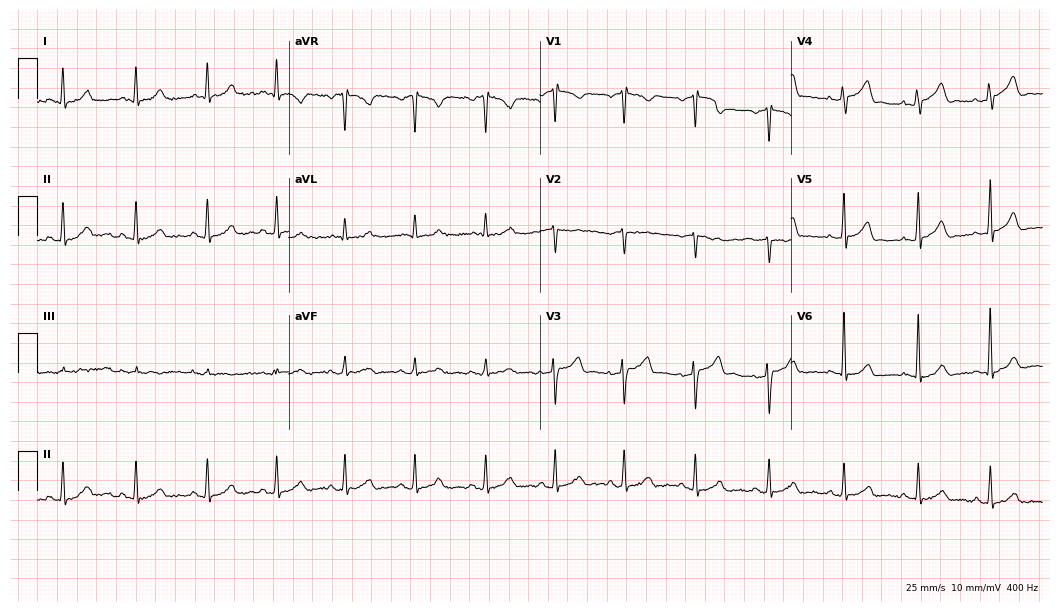
Standard 12-lead ECG recorded from a 67-year-old female (10.2-second recording at 400 Hz). None of these six findings is recorded: first-degree AV block, right bundle branch block (RBBB), left bundle branch block (LBBB), sinus bradycardia, atrial fibrillation (AF), sinus tachycardia. Findings outside these six are not listed.